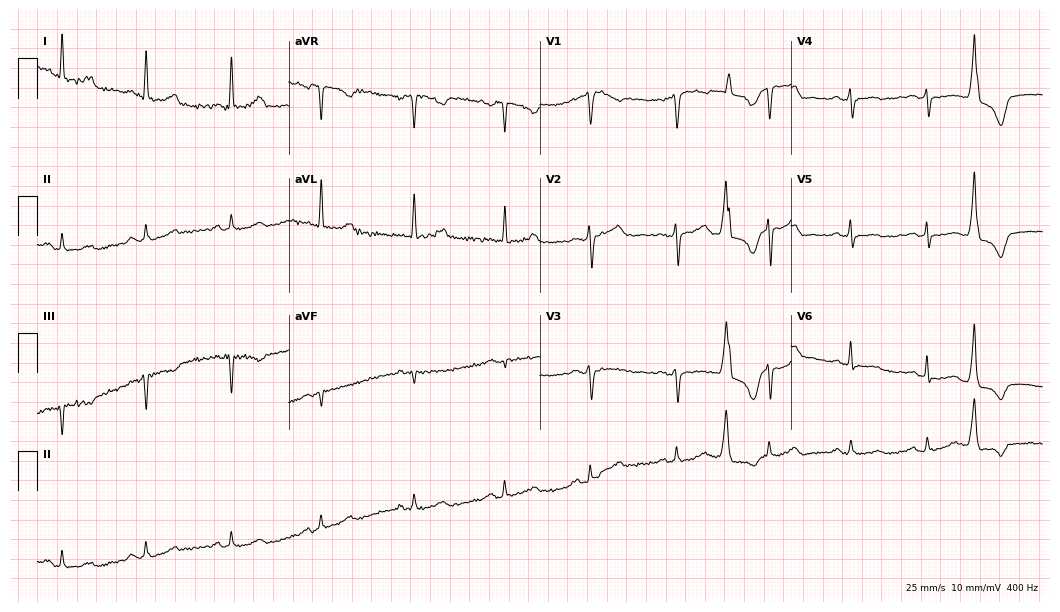
Resting 12-lead electrocardiogram. Patient: a female, 83 years old. None of these six findings is recorded: first-degree AV block, right bundle branch block, left bundle branch block, sinus bradycardia, atrial fibrillation, sinus tachycardia.